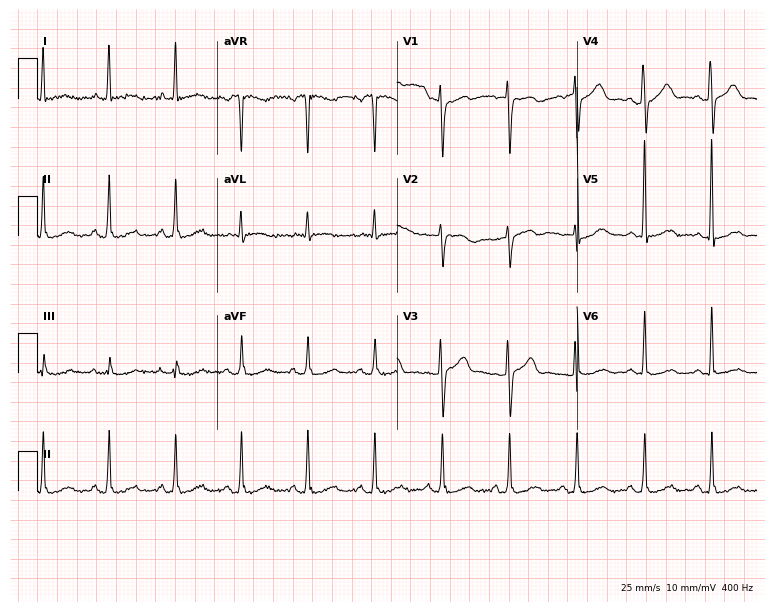
ECG — a female patient, 64 years old. Screened for six findings — first-degree AV block, right bundle branch block, left bundle branch block, sinus bradycardia, atrial fibrillation, sinus tachycardia — none is recorded.